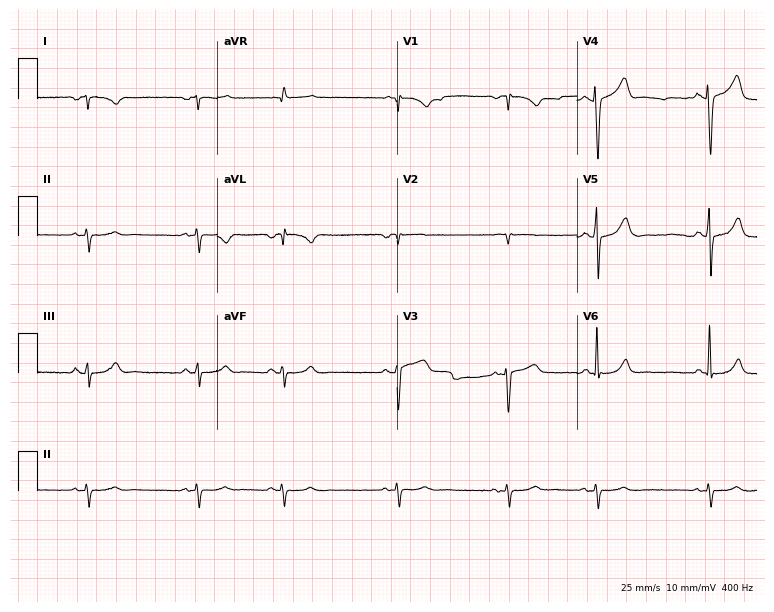
ECG (7.3-second recording at 400 Hz) — a male, 64 years old. Screened for six findings — first-degree AV block, right bundle branch block (RBBB), left bundle branch block (LBBB), sinus bradycardia, atrial fibrillation (AF), sinus tachycardia — none is recorded. Only these six findings were labelled.